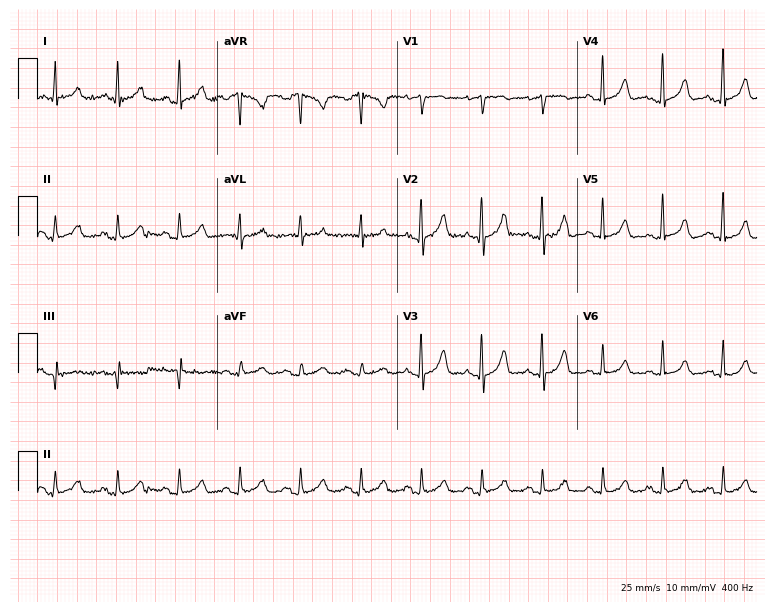
12-lead ECG (7.3-second recording at 400 Hz) from a female, 57 years old. Screened for six findings — first-degree AV block, right bundle branch block, left bundle branch block, sinus bradycardia, atrial fibrillation, sinus tachycardia — none is recorded.